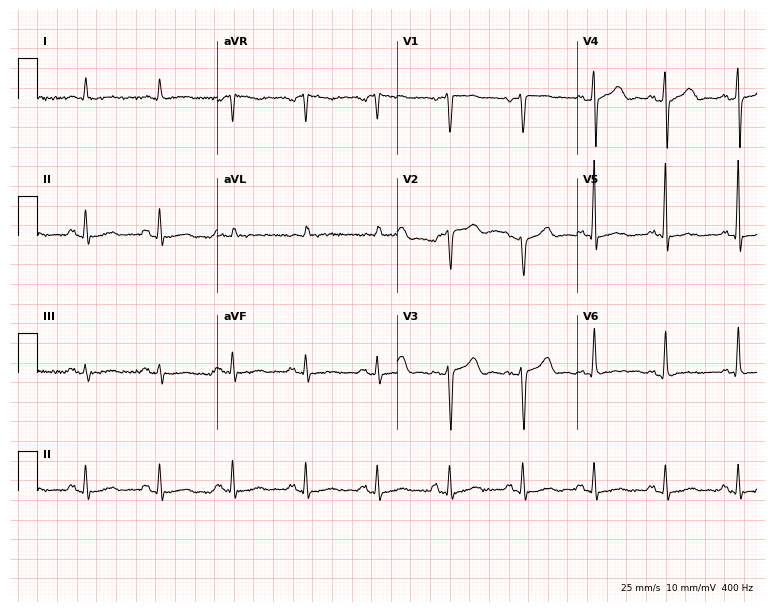
ECG — a male, 85 years old. Screened for six findings — first-degree AV block, right bundle branch block, left bundle branch block, sinus bradycardia, atrial fibrillation, sinus tachycardia — none is recorded.